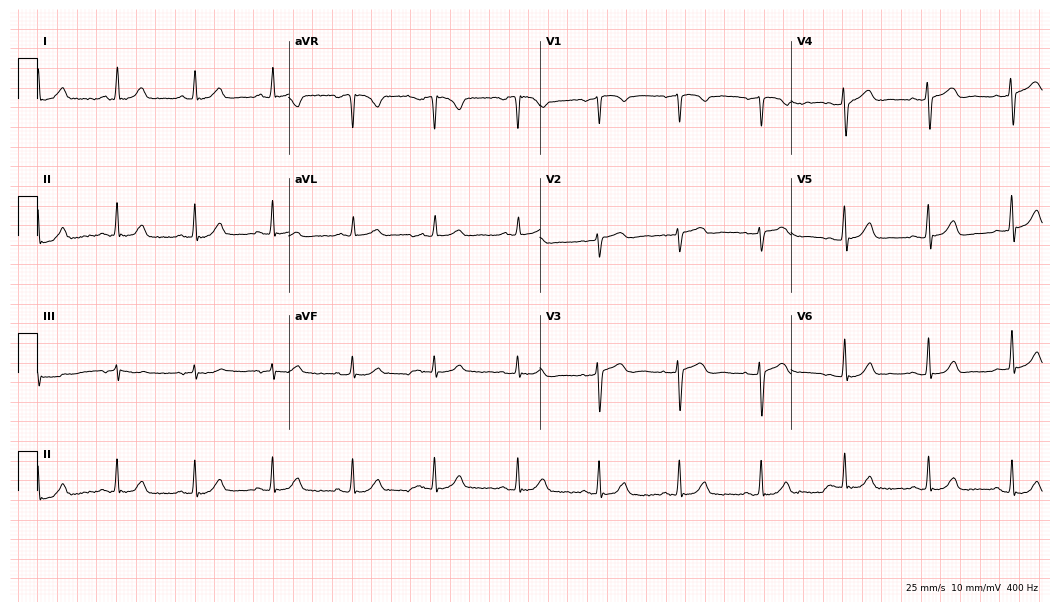
Standard 12-lead ECG recorded from a female, 52 years old. None of these six findings is recorded: first-degree AV block, right bundle branch block (RBBB), left bundle branch block (LBBB), sinus bradycardia, atrial fibrillation (AF), sinus tachycardia.